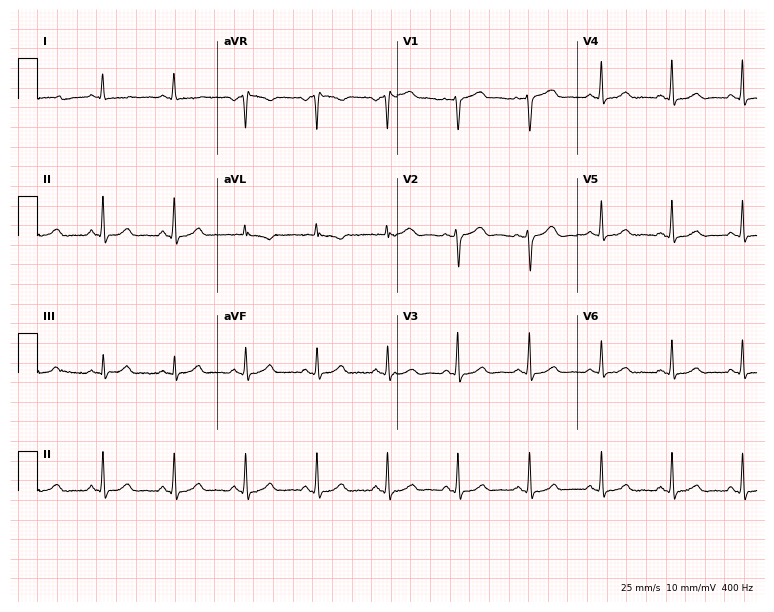
ECG — a female patient, 57 years old. Screened for six findings — first-degree AV block, right bundle branch block, left bundle branch block, sinus bradycardia, atrial fibrillation, sinus tachycardia — none is recorded.